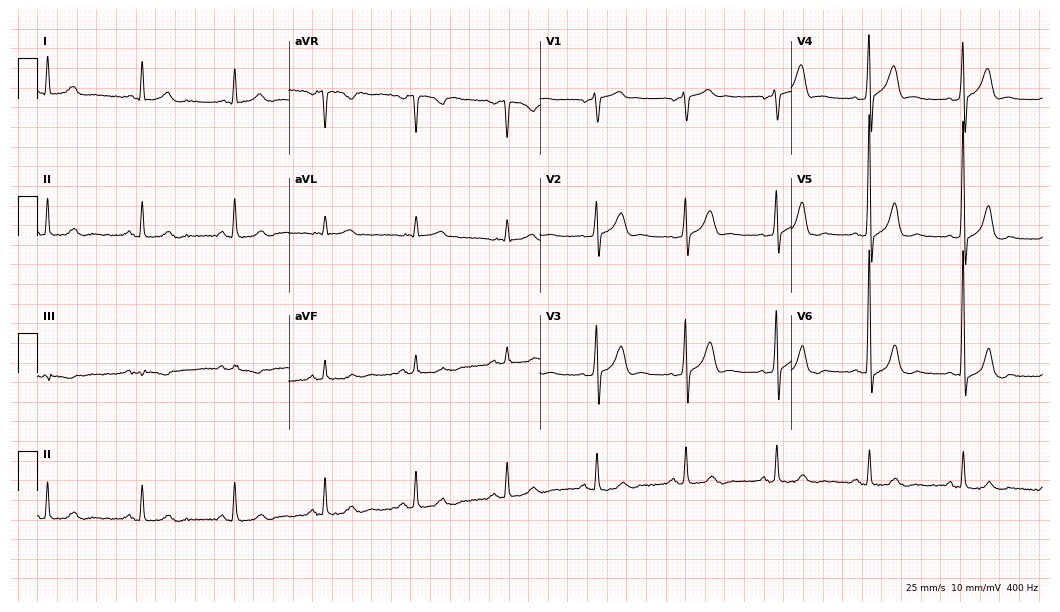
Resting 12-lead electrocardiogram. Patient: a man, 64 years old. None of these six findings is recorded: first-degree AV block, right bundle branch block, left bundle branch block, sinus bradycardia, atrial fibrillation, sinus tachycardia.